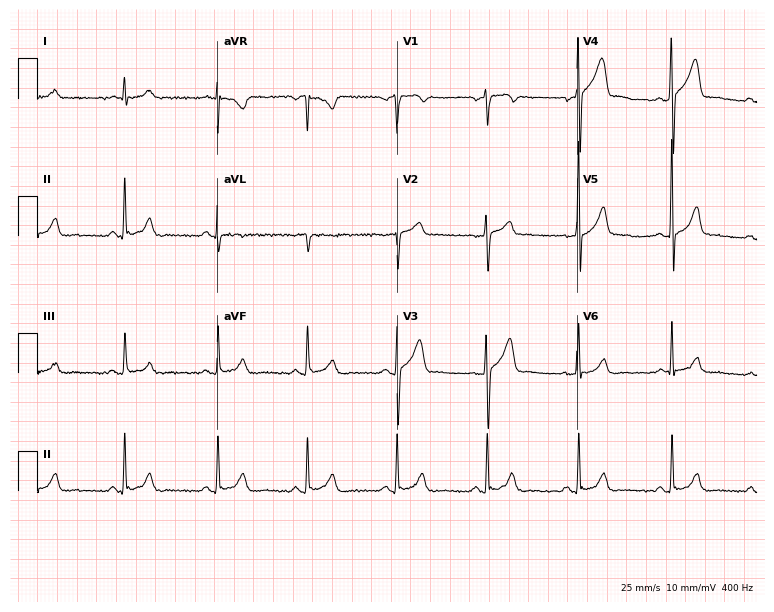
Electrocardiogram, a male, 43 years old. Overall reading on record: normal ECG.